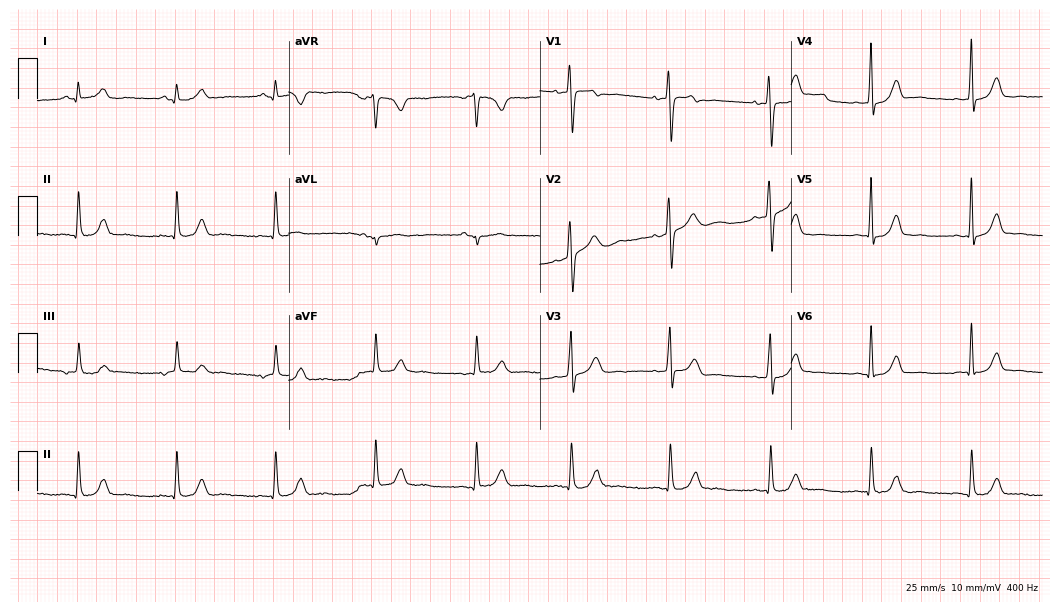
Resting 12-lead electrocardiogram (10.2-second recording at 400 Hz). Patient: a 42-year-old female. None of these six findings is recorded: first-degree AV block, right bundle branch block, left bundle branch block, sinus bradycardia, atrial fibrillation, sinus tachycardia. Only these six findings were labelled.